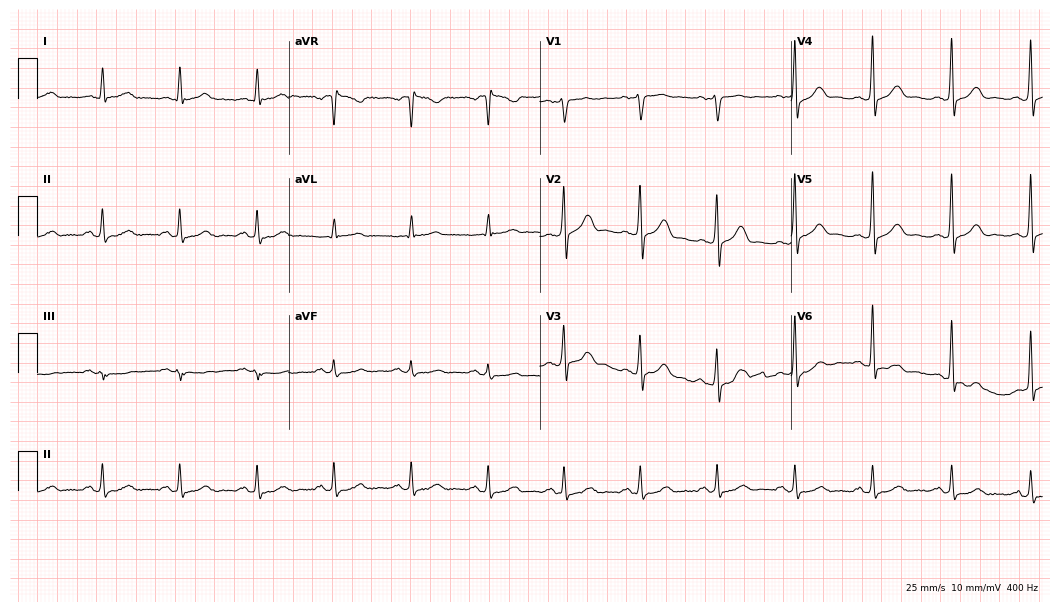
ECG (10.2-second recording at 400 Hz) — a female, 61 years old. Labelled as a normal ECG.